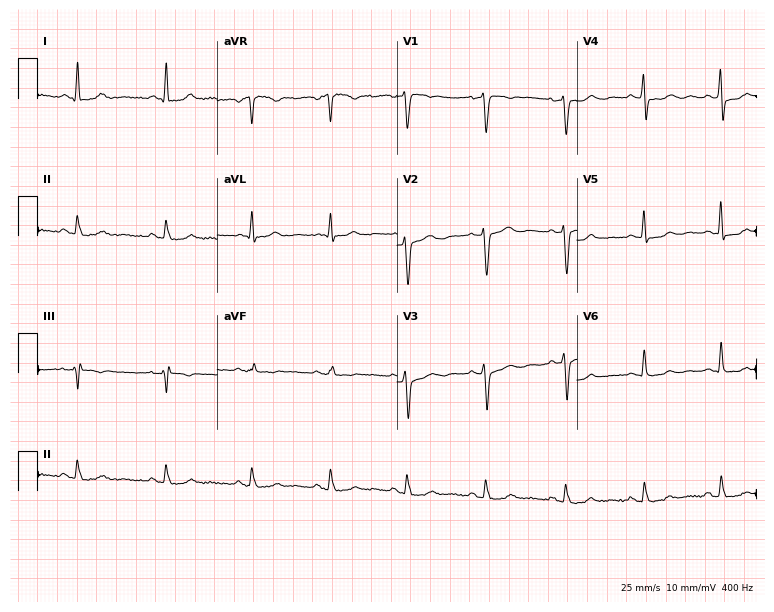
ECG (7.3-second recording at 400 Hz) — a 51-year-old woman. Screened for six findings — first-degree AV block, right bundle branch block, left bundle branch block, sinus bradycardia, atrial fibrillation, sinus tachycardia — none is recorded.